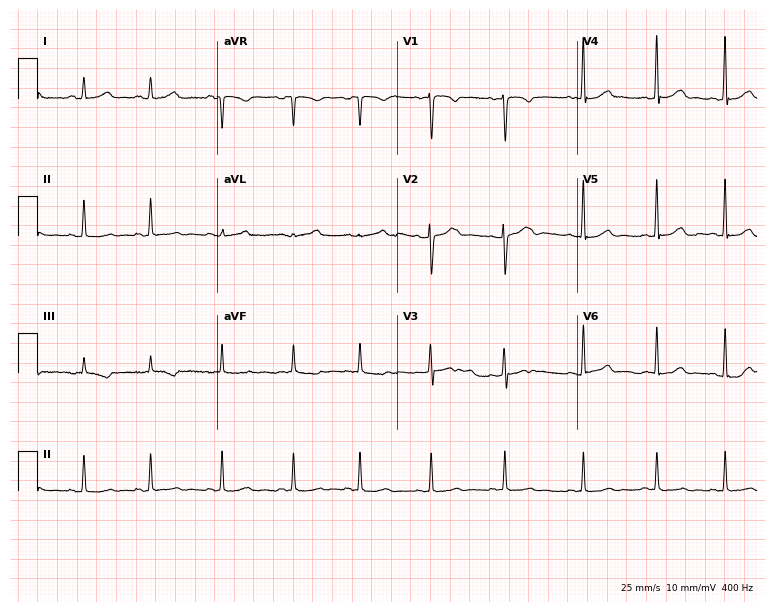
Electrocardiogram (7.3-second recording at 400 Hz), a female patient, 18 years old. Overall reading on record: normal ECG.